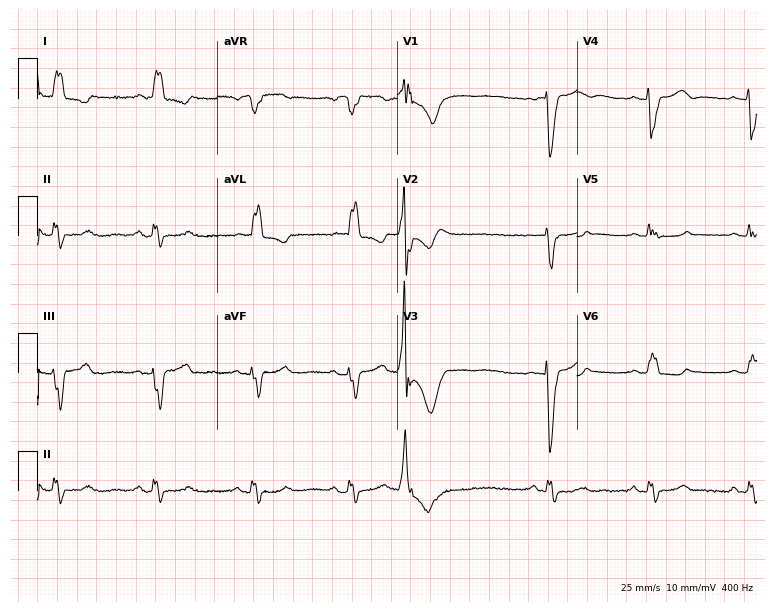
Standard 12-lead ECG recorded from a 67-year-old female patient (7.3-second recording at 400 Hz). None of these six findings is recorded: first-degree AV block, right bundle branch block, left bundle branch block, sinus bradycardia, atrial fibrillation, sinus tachycardia.